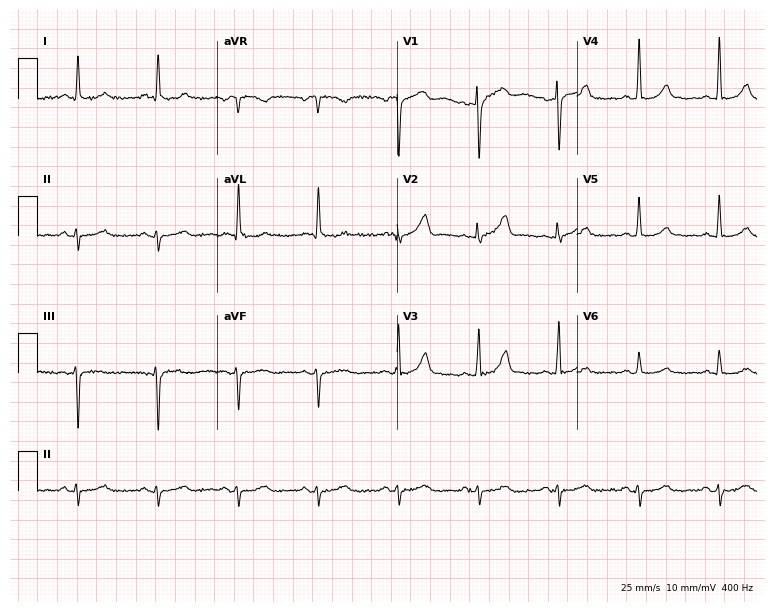
Resting 12-lead electrocardiogram (7.3-second recording at 400 Hz). Patient: a female, 52 years old. None of these six findings is recorded: first-degree AV block, right bundle branch block, left bundle branch block, sinus bradycardia, atrial fibrillation, sinus tachycardia.